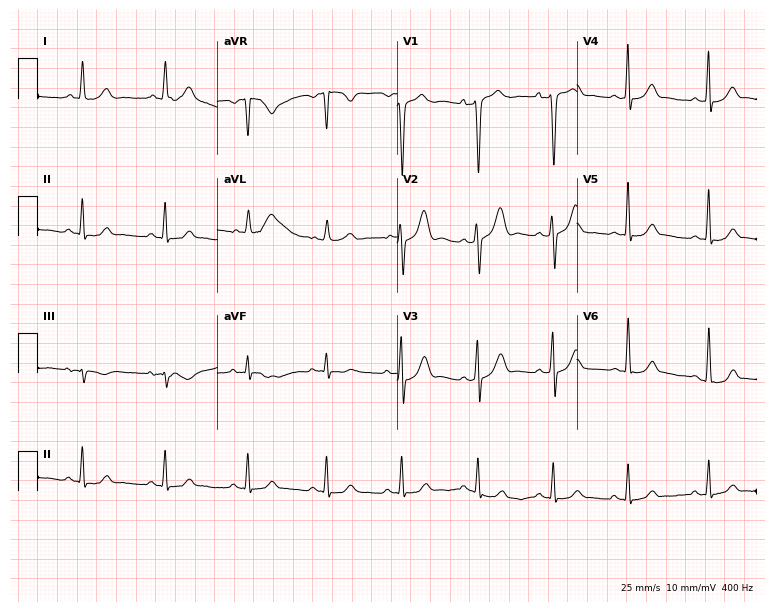
Resting 12-lead electrocardiogram. Patient: a 33-year-old man. None of these six findings is recorded: first-degree AV block, right bundle branch block (RBBB), left bundle branch block (LBBB), sinus bradycardia, atrial fibrillation (AF), sinus tachycardia. Findings outside these six are not listed.